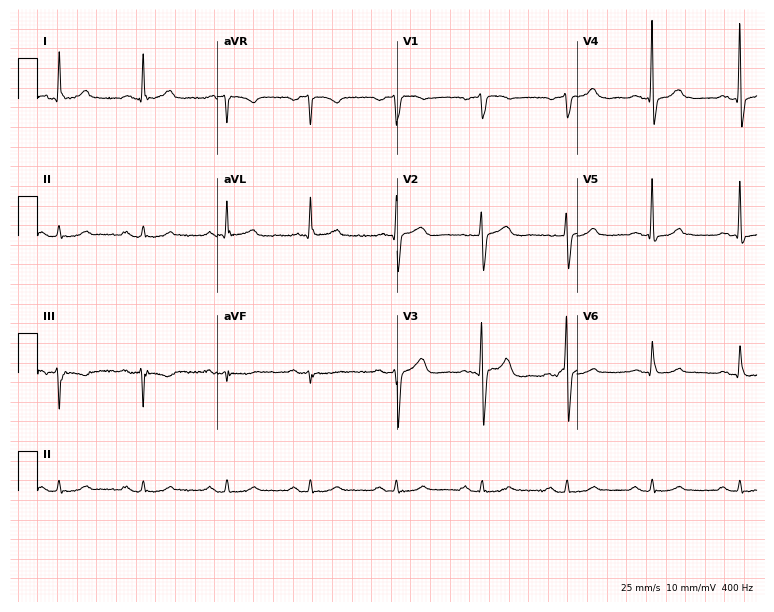
12-lead ECG (7.3-second recording at 400 Hz) from an 80-year-old female. Labelled as a normal ECG.